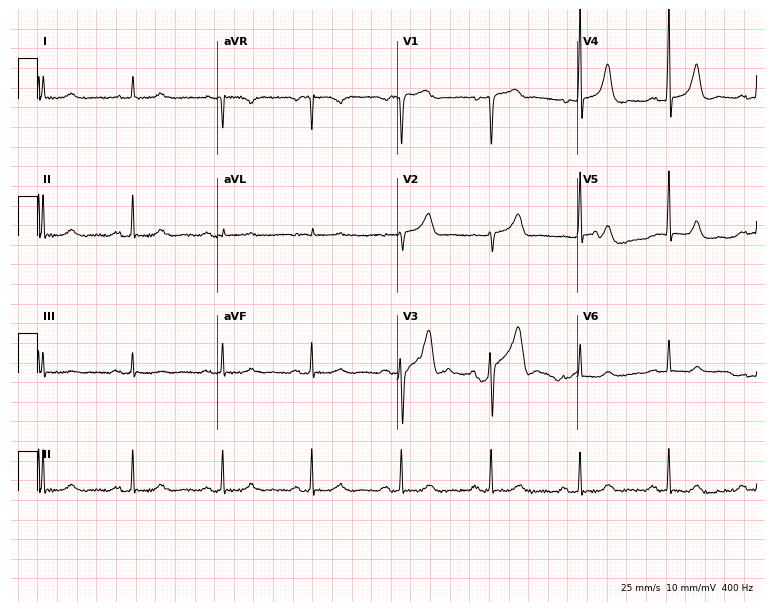
Electrocardiogram, a male, 64 years old. Overall reading on record: normal ECG.